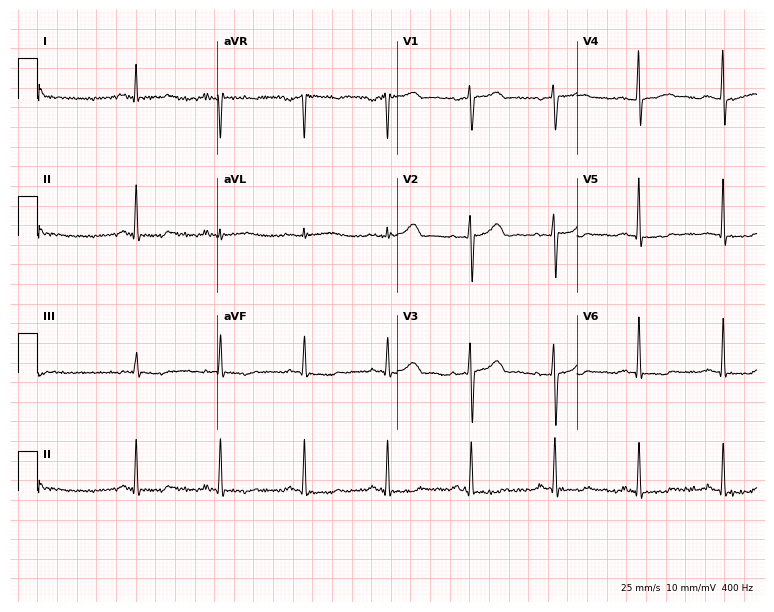
Resting 12-lead electrocardiogram (7.3-second recording at 400 Hz). Patient: a 64-year-old female. None of these six findings is recorded: first-degree AV block, right bundle branch block, left bundle branch block, sinus bradycardia, atrial fibrillation, sinus tachycardia. Only these six findings were labelled.